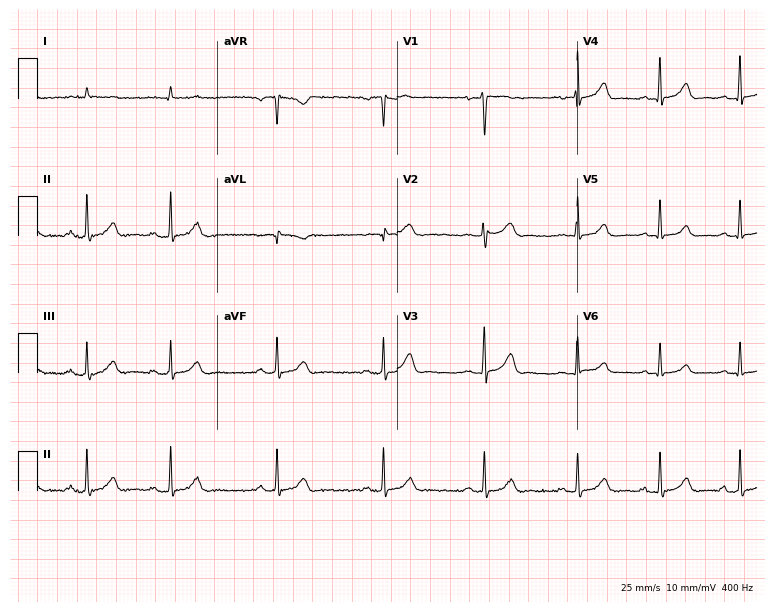
Resting 12-lead electrocardiogram (7.3-second recording at 400 Hz). Patient: a 23-year-old female. Read as a normal ECG.